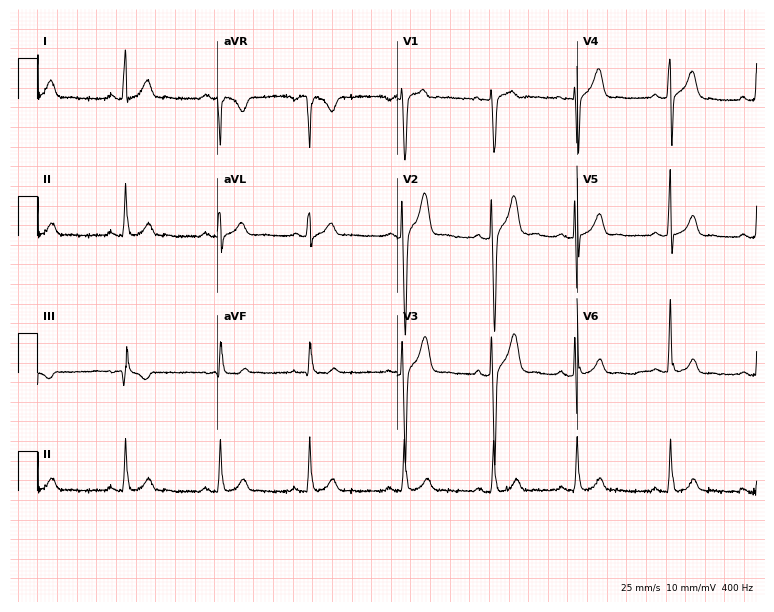
Standard 12-lead ECG recorded from a male patient, 21 years old (7.3-second recording at 400 Hz). Read as a normal ECG.